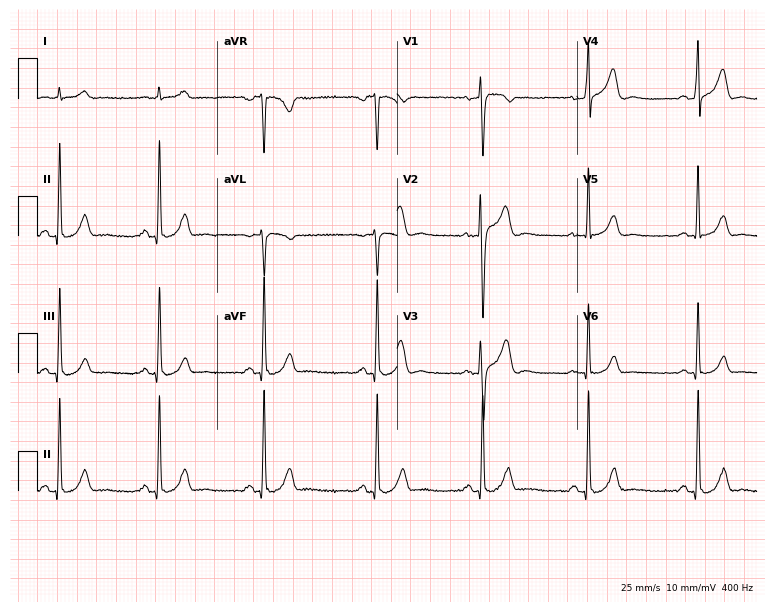
12-lead ECG from a 40-year-old man. Labelled as a normal ECG.